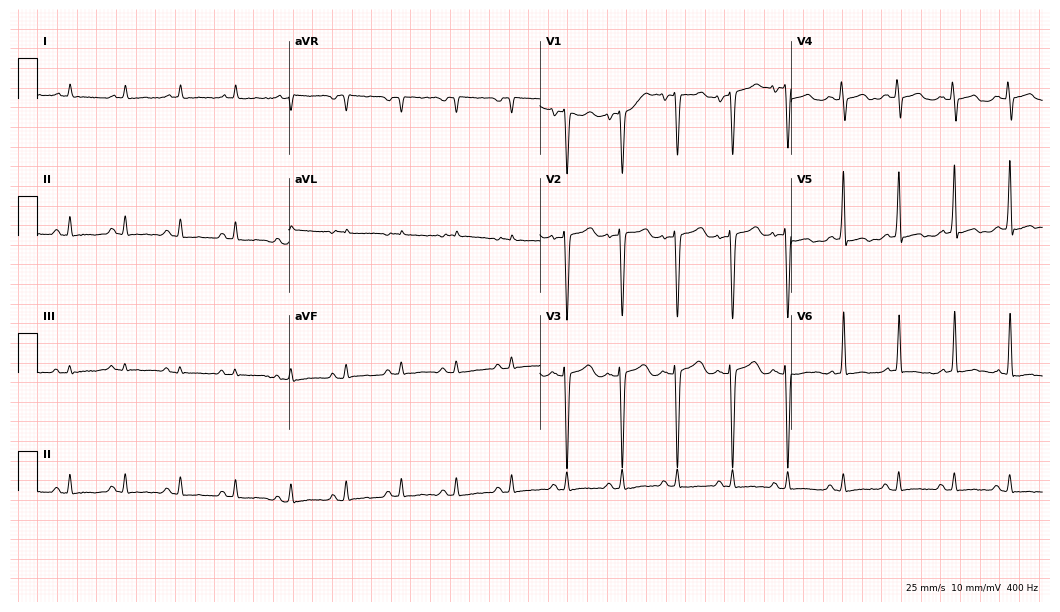
Standard 12-lead ECG recorded from a male patient, 62 years old. The tracing shows sinus tachycardia (a sinus rate of 100 beats per minute or more).